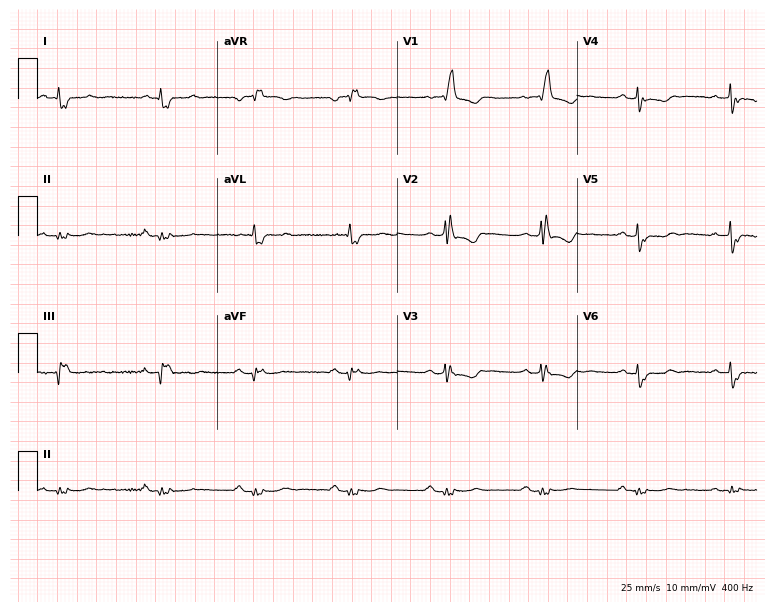
Standard 12-lead ECG recorded from an 85-year-old male (7.3-second recording at 400 Hz). The tracing shows right bundle branch block.